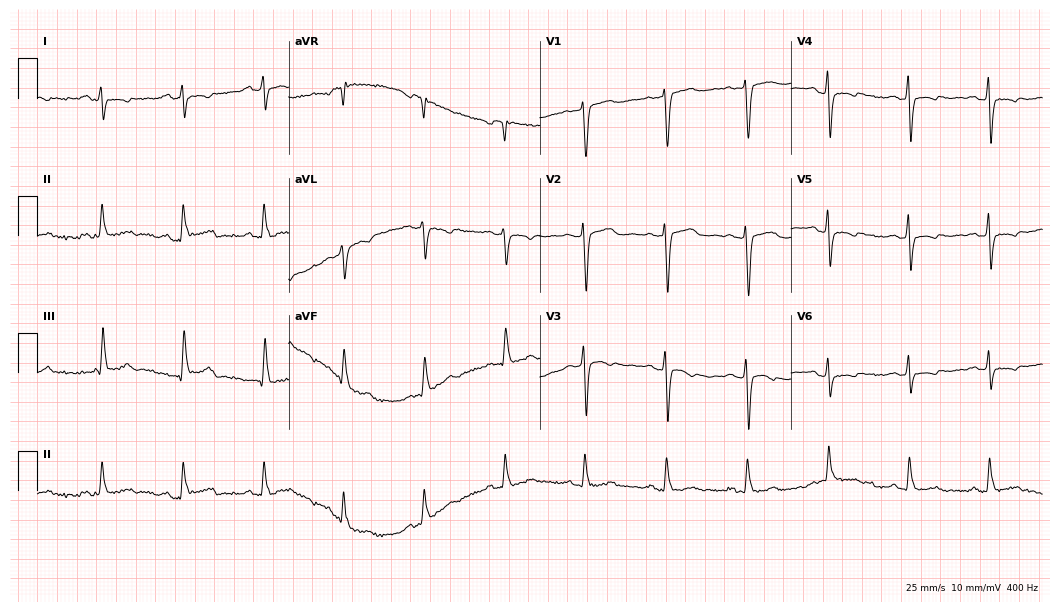
12-lead ECG from a female, 63 years old. Screened for six findings — first-degree AV block, right bundle branch block, left bundle branch block, sinus bradycardia, atrial fibrillation, sinus tachycardia — none is recorded. Other findings, if any, are not listed.